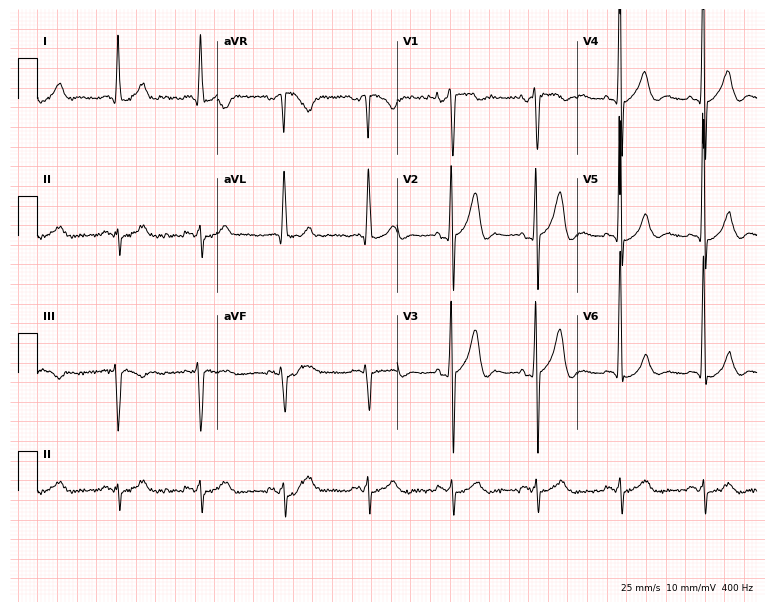
12-lead ECG from a 60-year-old male (7.3-second recording at 400 Hz). No first-degree AV block, right bundle branch block, left bundle branch block, sinus bradycardia, atrial fibrillation or sinus tachycardia recorded for this tracing.